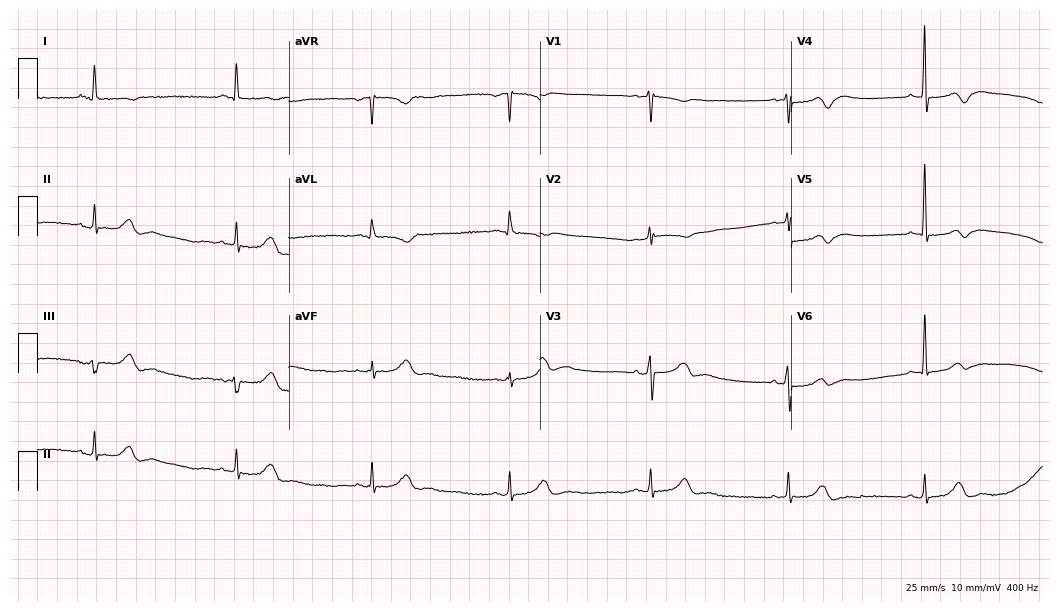
12-lead ECG from a 65-year-old woman. Shows sinus bradycardia (a sinus rate of 50 beats per minute or less).